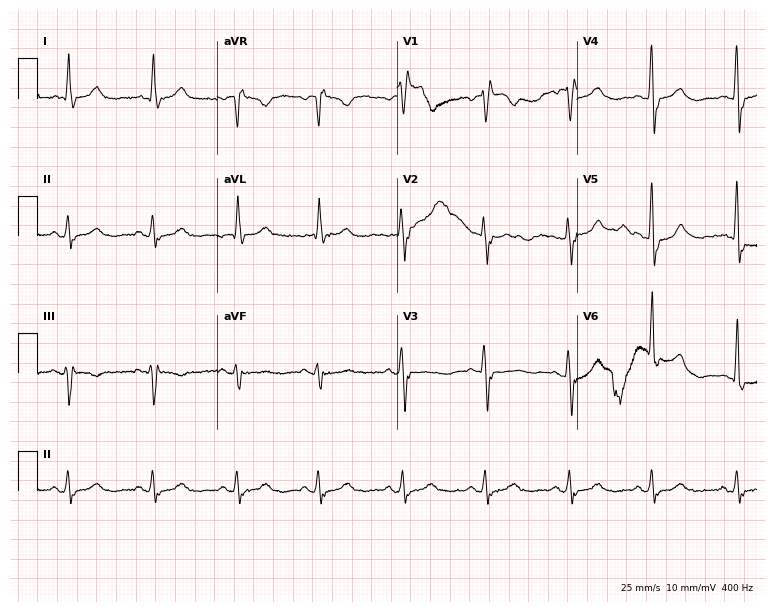
12-lead ECG from an 83-year-old woman (7.3-second recording at 400 Hz). Shows right bundle branch block.